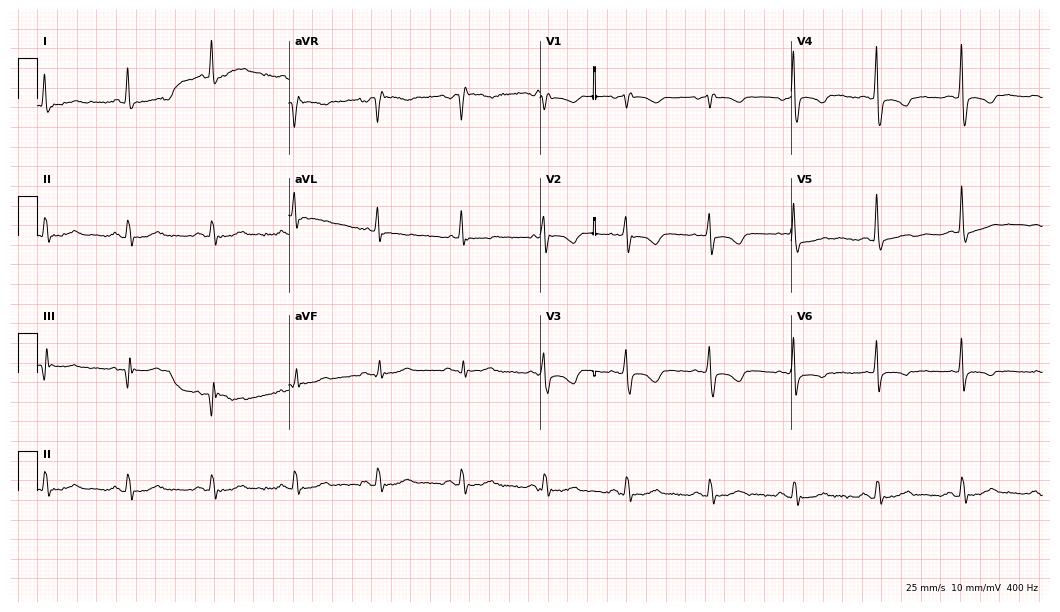
Standard 12-lead ECG recorded from a 68-year-old female patient. None of these six findings is recorded: first-degree AV block, right bundle branch block, left bundle branch block, sinus bradycardia, atrial fibrillation, sinus tachycardia.